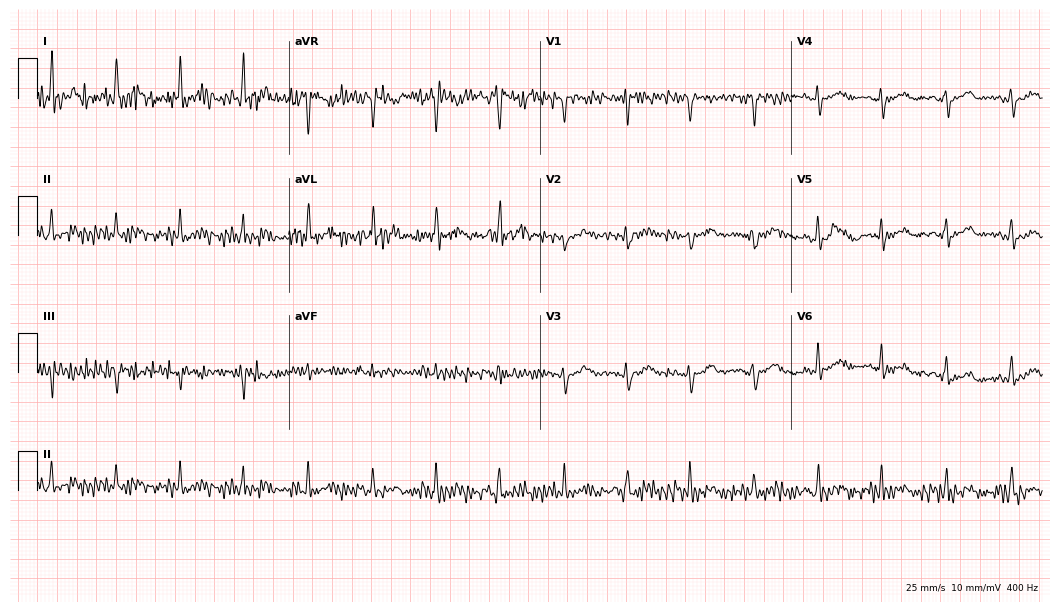
Resting 12-lead electrocardiogram (10.2-second recording at 400 Hz). Patient: a female, 49 years old. None of these six findings is recorded: first-degree AV block, right bundle branch block, left bundle branch block, sinus bradycardia, atrial fibrillation, sinus tachycardia.